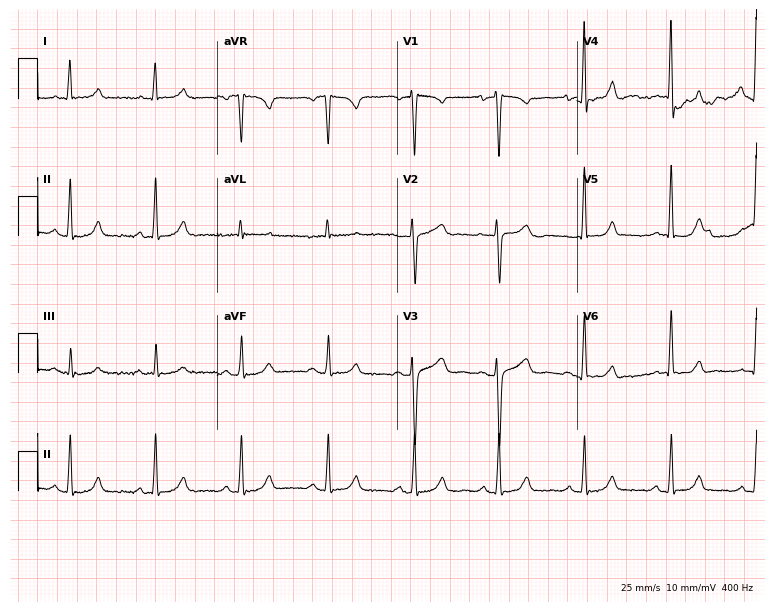
Resting 12-lead electrocardiogram. Patient: a woman, 37 years old. Read as a normal ECG.